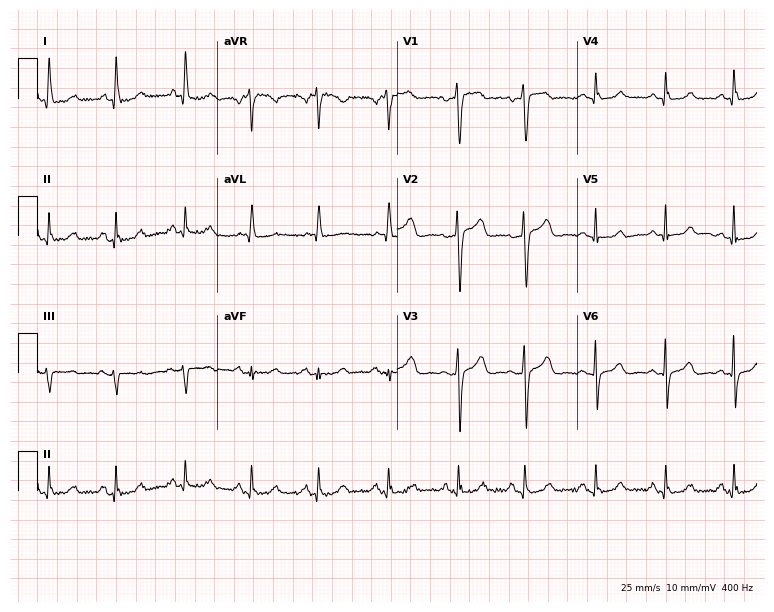
12-lead ECG from a female, 63 years old (7.3-second recording at 400 Hz). No first-degree AV block, right bundle branch block, left bundle branch block, sinus bradycardia, atrial fibrillation or sinus tachycardia recorded for this tracing. Findings outside these six are not listed.